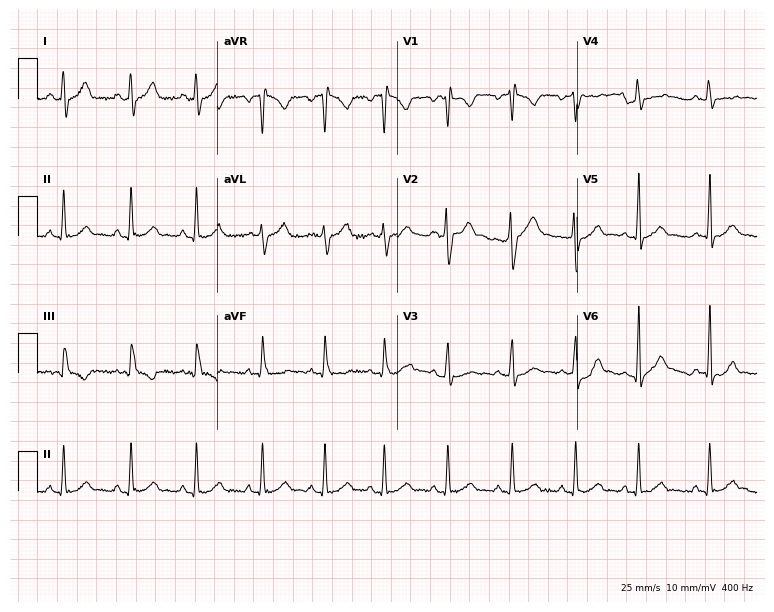
Electrocardiogram, a 22-year-old female patient. Of the six screened findings (first-degree AV block, right bundle branch block (RBBB), left bundle branch block (LBBB), sinus bradycardia, atrial fibrillation (AF), sinus tachycardia), none is recorded. Other findings, if any, are not listed.